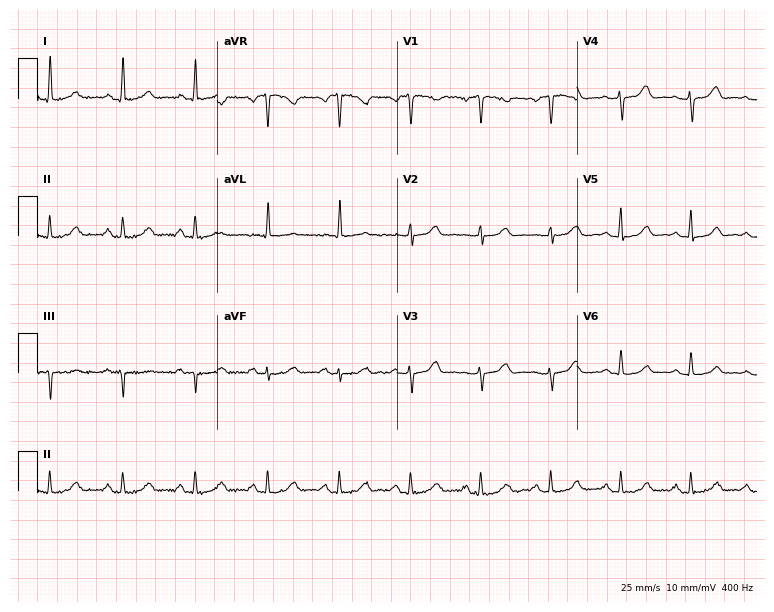
Resting 12-lead electrocardiogram. Patient: a female, 49 years old. None of these six findings is recorded: first-degree AV block, right bundle branch block, left bundle branch block, sinus bradycardia, atrial fibrillation, sinus tachycardia. Findings outside these six are not listed.